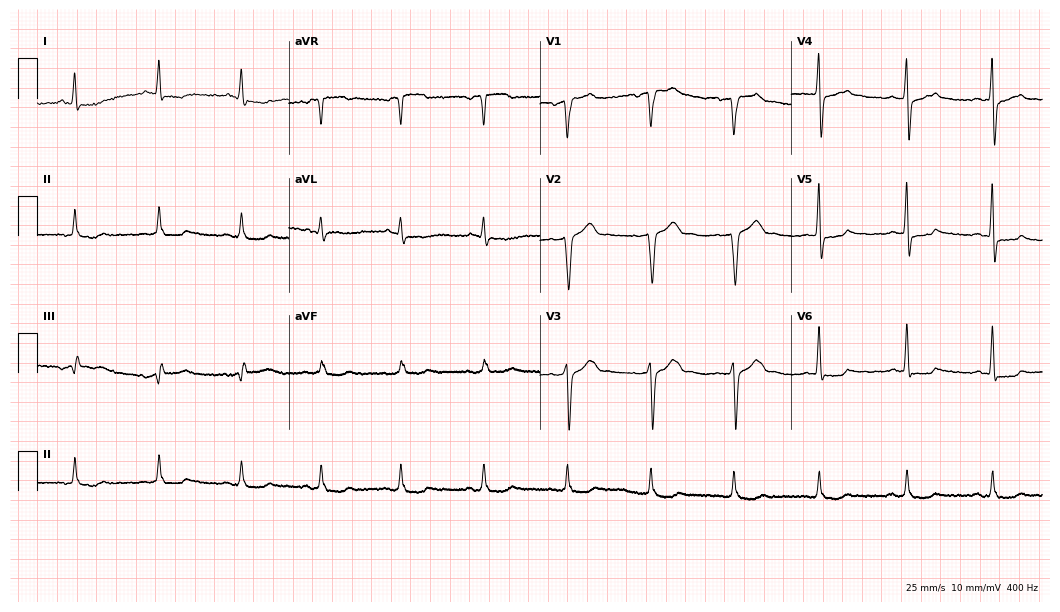
12-lead ECG (10.2-second recording at 400 Hz) from a 60-year-old man. Screened for six findings — first-degree AV block, right bundle branch block, left bundle branch block, sinus bradycardia, atrial fibrillation, sinus tachycardia — none is recorded. Only these six findings were labelled.